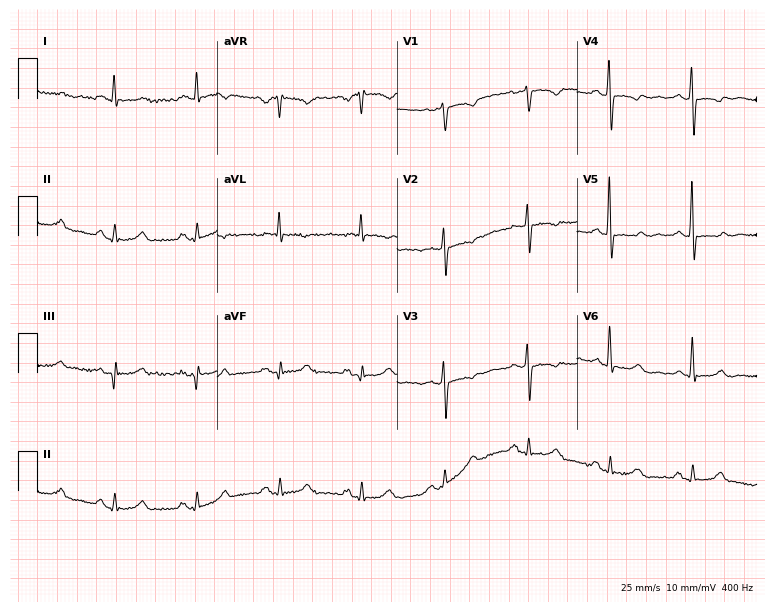
Resting 12-lead electrocardiogram (7.3-second recording at 400 Hz). Patient: a woman, 58 years old. None of these six findings is recorded: first-degree AV block, right bundle branch block, left bundle branch block, sinus bradycardia, atrial fibrillation, sinus tachycardia. Findings outside these six are not listed.